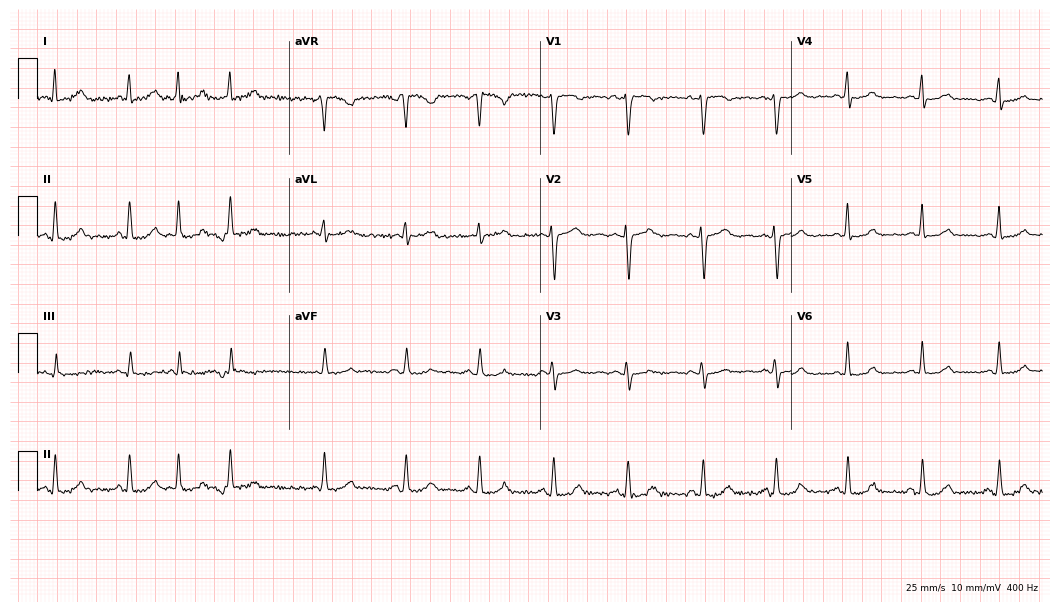
12-lead ECG from a female, 42 years old (10.2-second recording at 400 Hz). No first-degree AV block, right bundle branch block, left bundle branch block, sinus bradycardia, atrial fibrillation or sinus tachycardia recorded for this tracing.